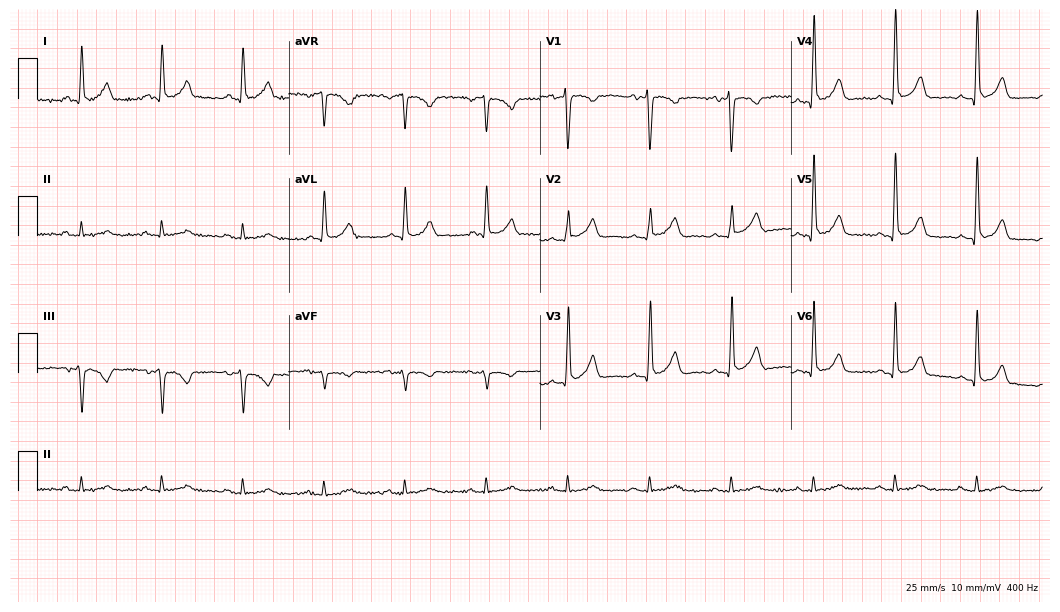
Standard 12-lead ECG recorded from a male, 77 years old. None of these six findings is recorded: first-degree AV block, right bundle branch block, left bundle branch block, sinus bradycardia, atrial fibrillation, sinus tachycardia.